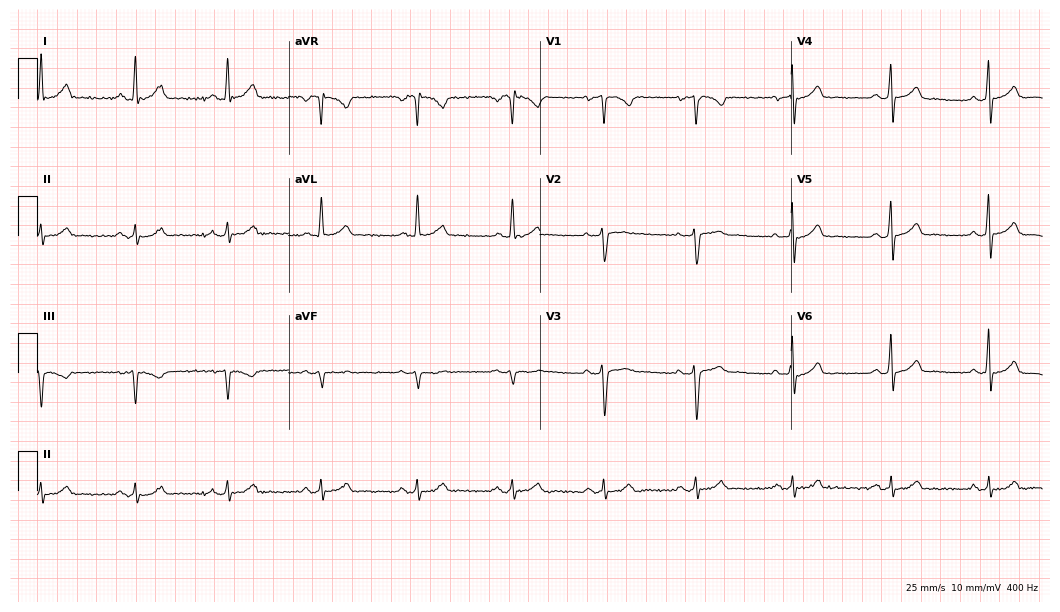
Resting 12-lead electrocardiogram (10.2-second recording at 400 Hz). Patient: a 45-year-old man. Read as a normal ECG.